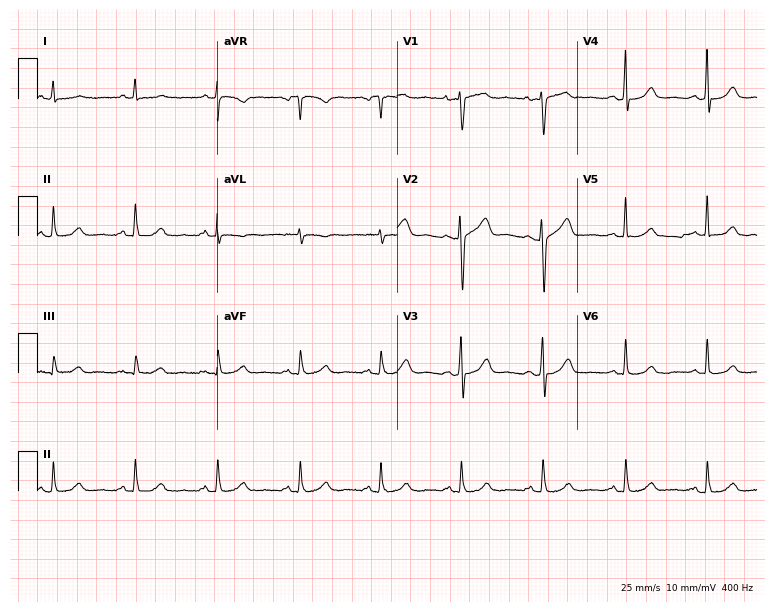
12-lead ECG from a 70-year-old woman (7.3-second recording at 400 Hz). No first-degree AV block, right bundle branch block, left bundle branch block, sinus bradycardia, atrial fibrillation or sinus tachycardia recorded for this tracing. Only these six findings were labelled.